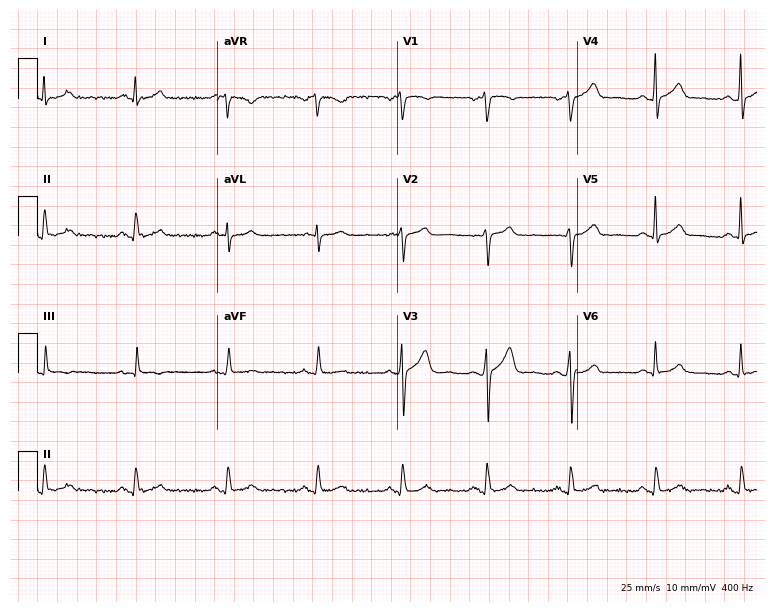
Resting 12-lead electrocardiogram (7.3-second recording at 400 Hz). Patient: a male, 43 years old. None of these six findings is recorded: first-degree AV block, right bundle branch block, left bundle branch block, sinus bradycardia, atrial fibrillation, sinus tachycardia.